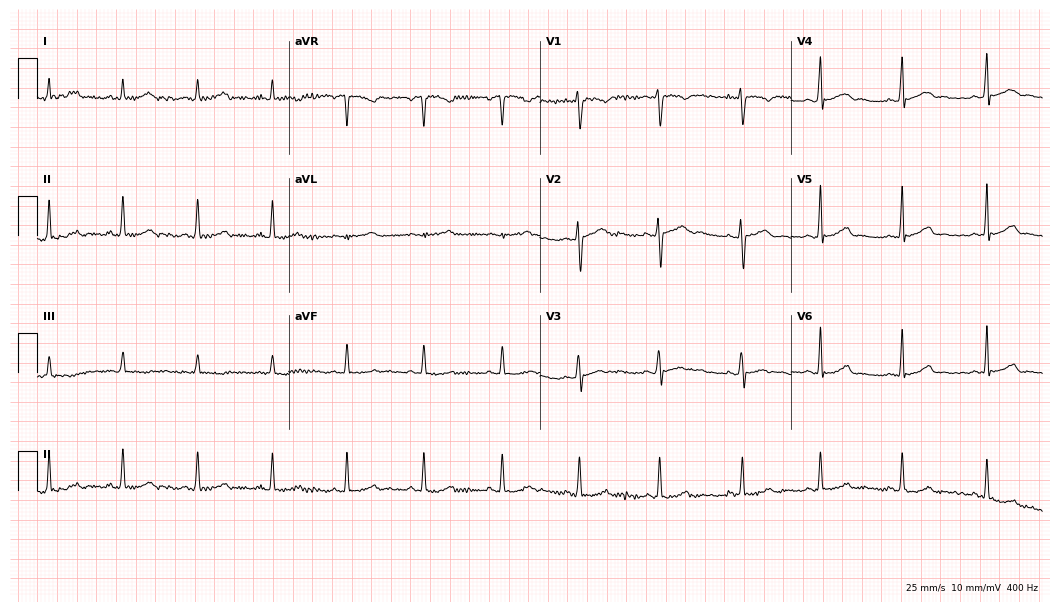
12-lead ECG (10.2-second recording at 400 Hz) from a 20-year-old woman. Labelled as a normal ECG.